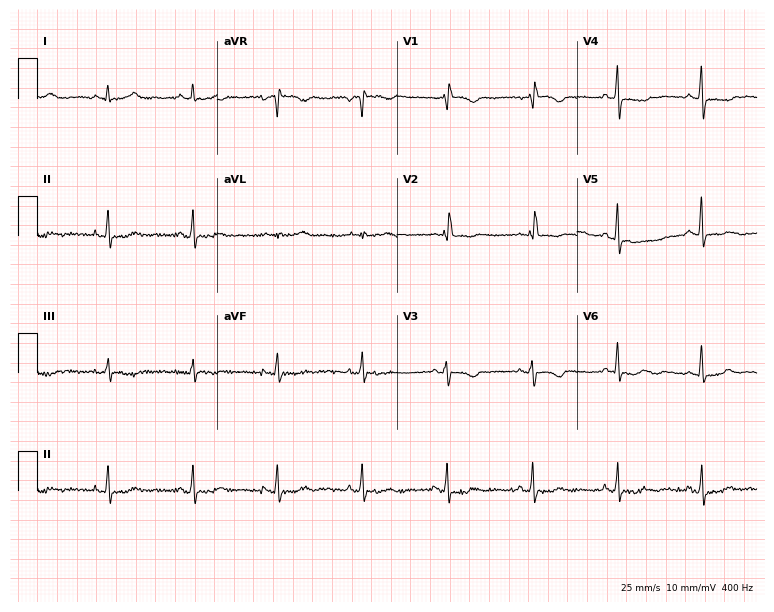
Resting 12-lead electrocardiogram. Patient: a 77-year-old female. None of these six findings is recorded: first-degree AV block, right bundle branch block, left bundle branch block, sinus bradycardia, atrial fibrillation, sinus tachycardia. Findings outside these six are not listed.